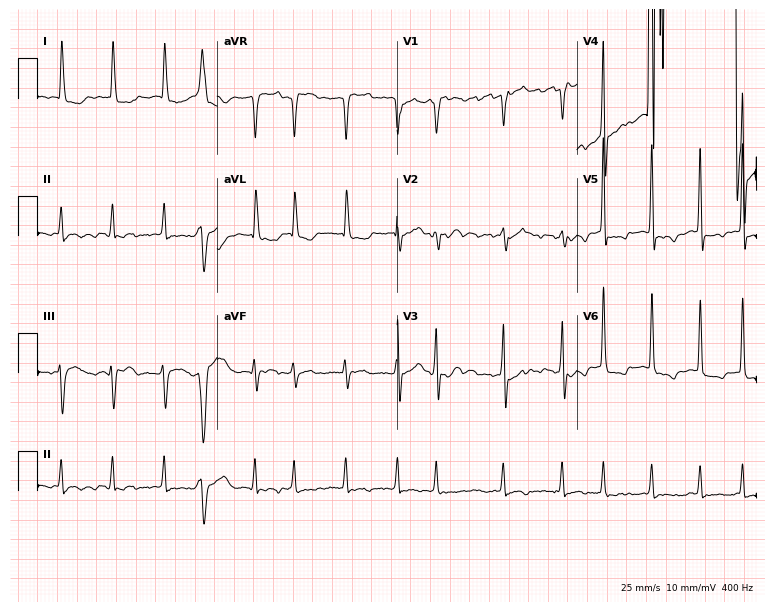
Resting 12-lead electrocardiogram. Patient: a female, 70 years old. The tracing shows atrial fibrillation.